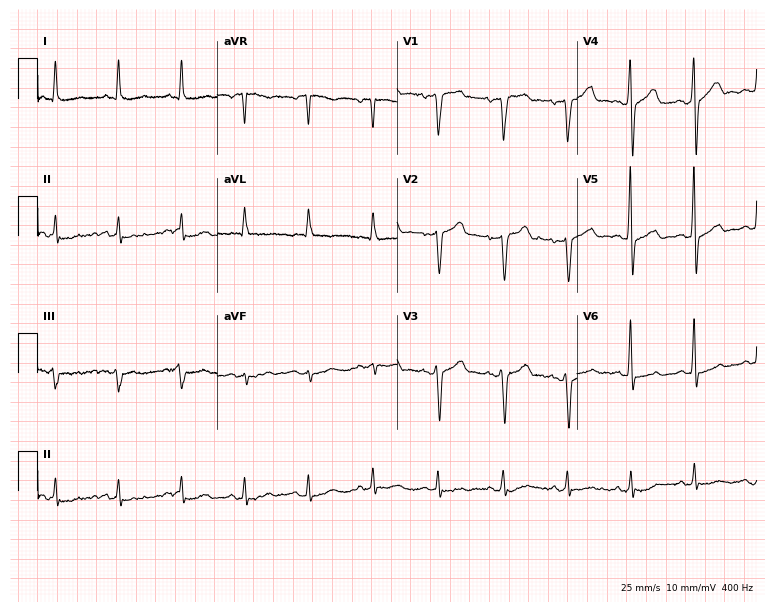
12-lead ECG from a 68-year-old man (7.3-second recording at 400 Hz). Recorded interpretation: within normal limits.